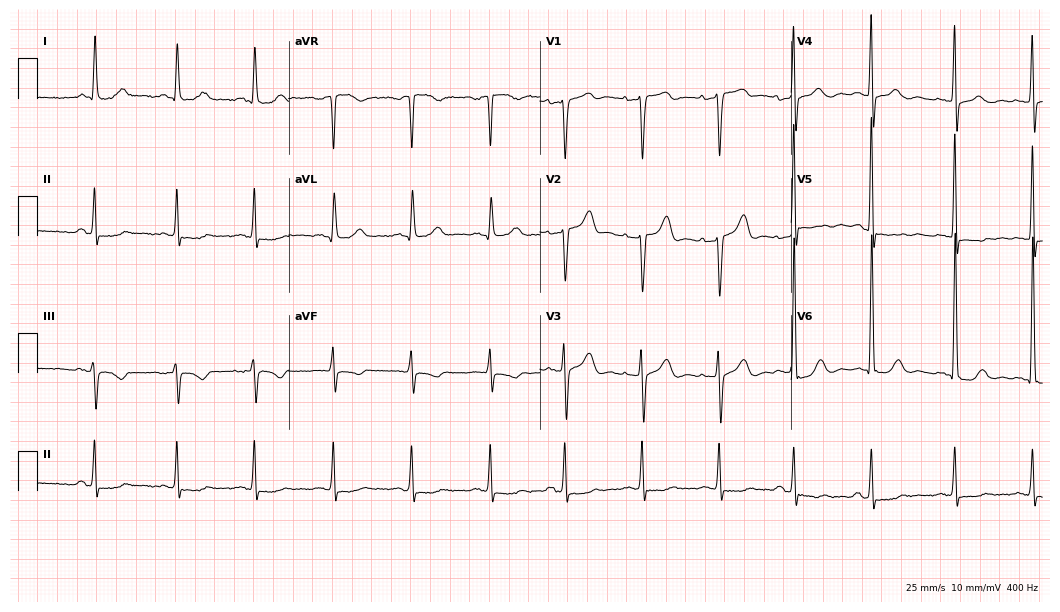
12-lead ECG from a 74-year-old male (10.2-second recording at 400 Hz). No first-degree AV block, right bundle branch block, left bundle branch block, sinus bradycardia, atrial fibrillation or sinus tachycardia recorded for this tracing. Only these six findings were labelled.